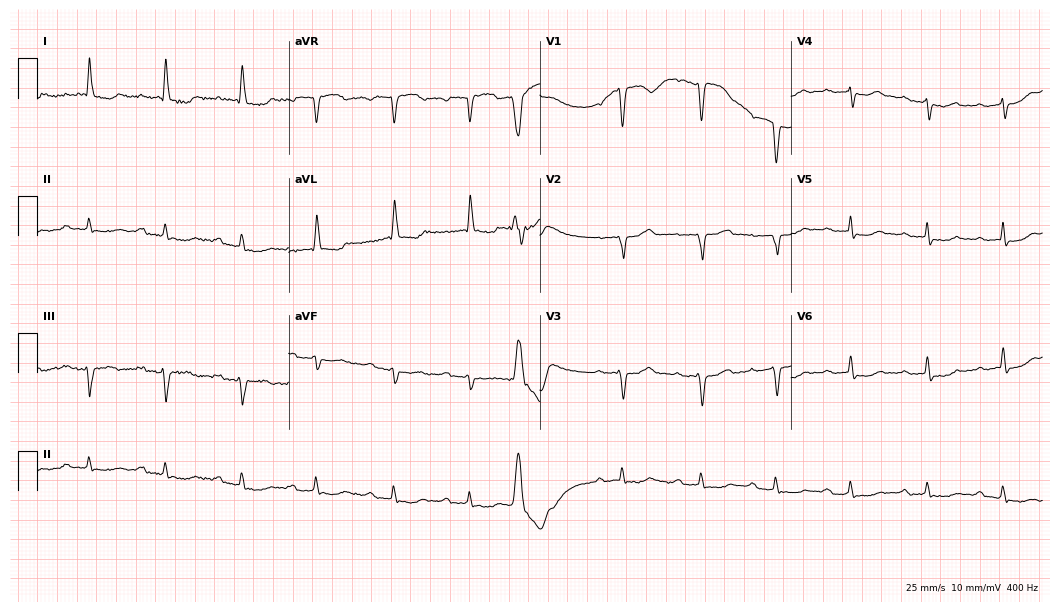
12-lead ECG from a woman, 85 years old. Screened for six findings — first-degree AV block, right bundle branch block, left bundle branch block, sinus bradycardia, atrial fibrillation, sinus tachycardia — none is recorded.